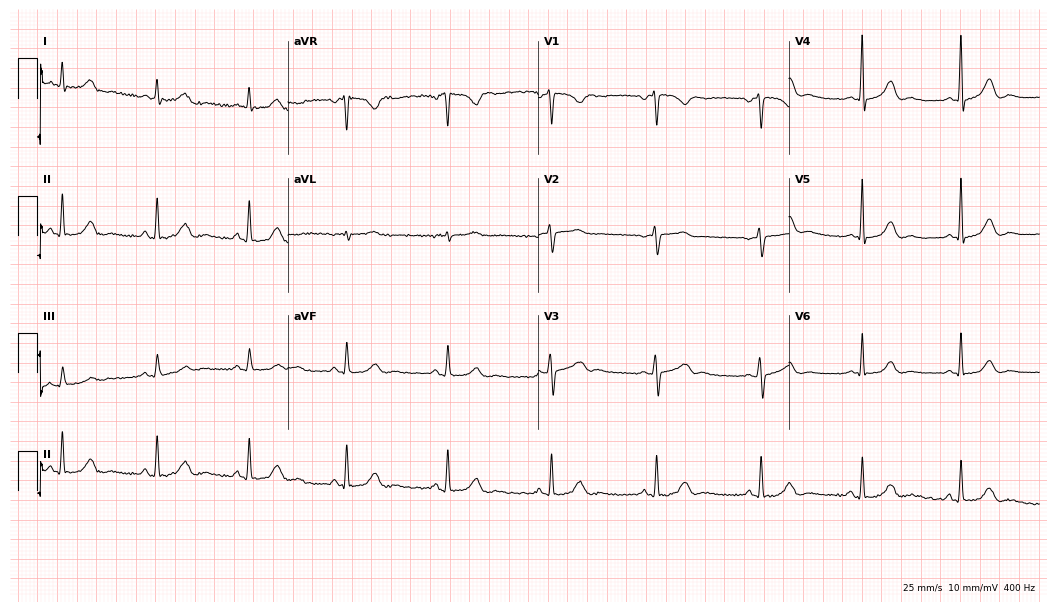
Standard 12-lead ECG recorded from a female patient, 46 years old. Read as a normal ECG.